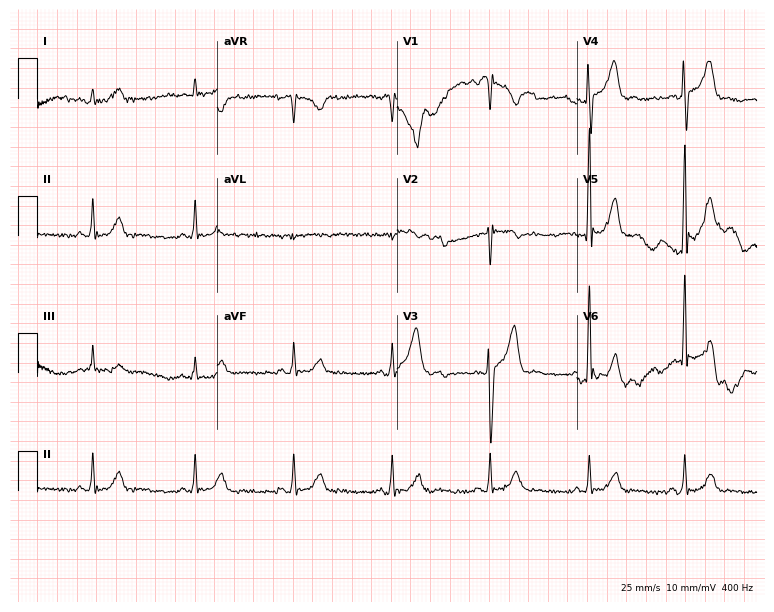
ECG (7.3-second recording at 400 Hz) — a 44-year-old man. Labelled as a normal ECG.